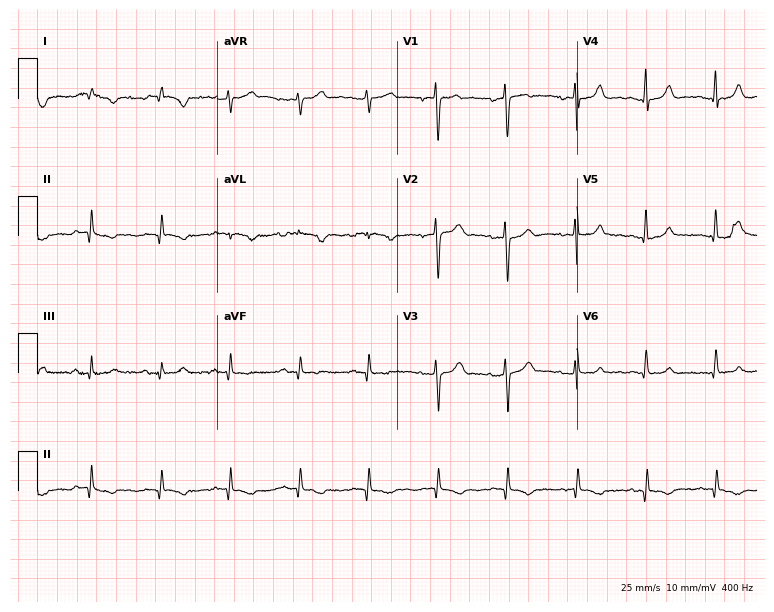
ECG — a 55-year-old woman. Screened for six findings — first-degree AV block, right bundle branch block, left bundle branch block, sinus bradycardia, atrial fibrillation, sinus tachycardia — none is recorded.